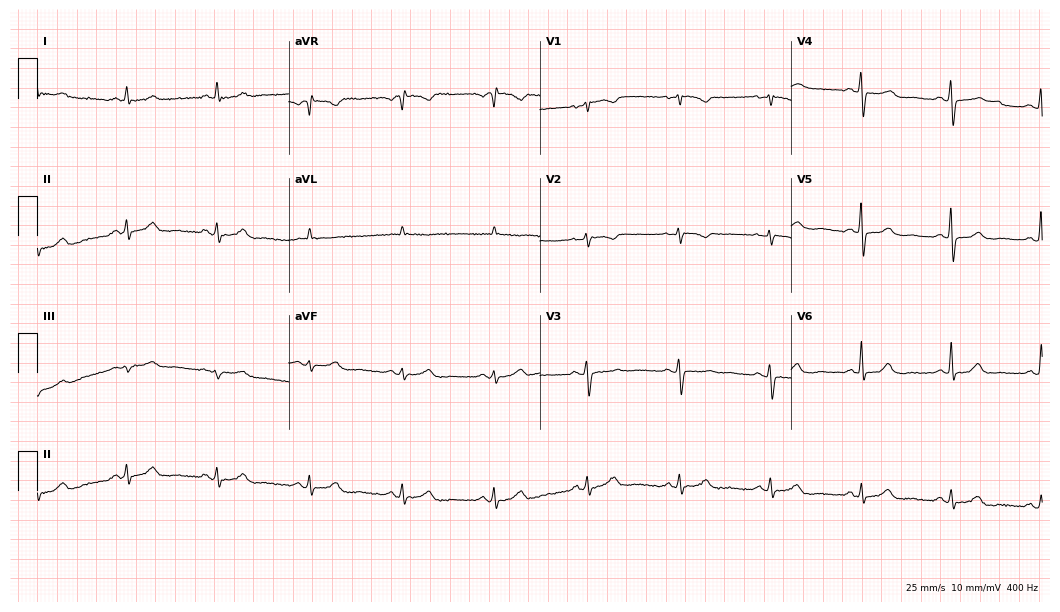
Electrocardiogram (10.2-second recording at 400 Hz), a 73-year-old female patient. Overall reading on record: normal ECG.